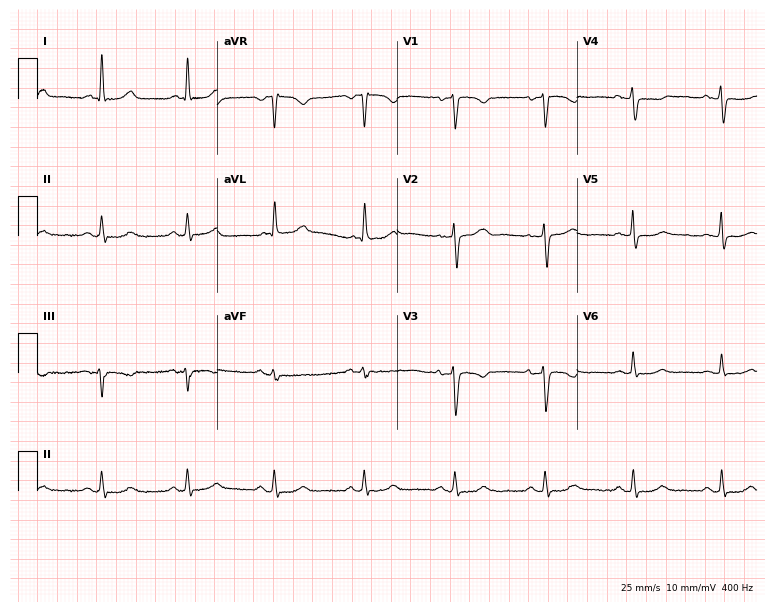
Electrocardiogram, a female patient, 59 years old. Of the six screened findings (first-degree AV block, right bundle branch block (RBBB), left bundle branch block (LBBB), sinus bradycardia, atrial fibrillation (AF), sinus tachycardia), none is recorded. Other findings, if any, are not listed.